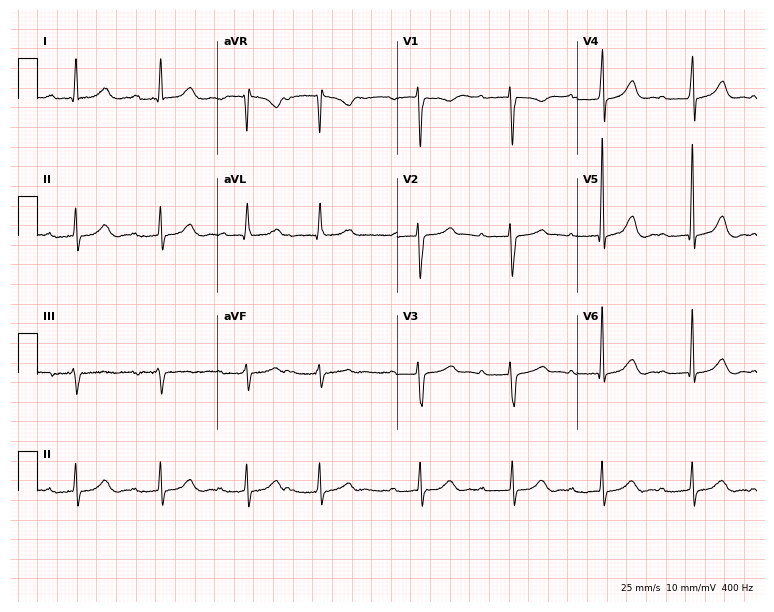
12-lead ECG (7.3-second recording at 400 Hz) from a woman, 70 years old. Screened for six findings — first-degree AV block, right bundle branch block, left bundle branch block, sinus bradycardia, atrial fibrillation, sinus tachycardia — none is recorded. Other findings, if any, are not listed.